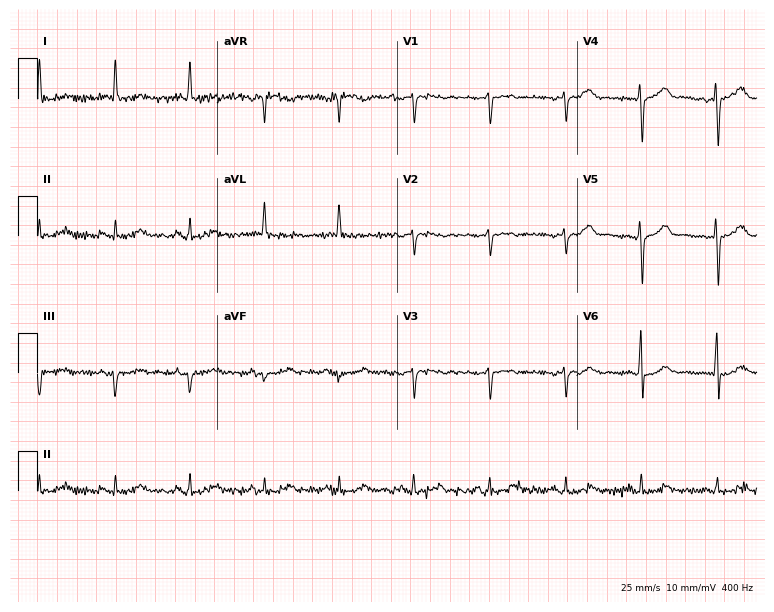
12-lead ECG from a female patient, 50 years old (7.3-second recording at 400 Hz). No first-degree AV block, right bundle branch block (RBBB), left bundle branch block (LBBB), sinus bradycardia, atrial fibrillation (AF) or sinus tachycardia recorded for this tracing.